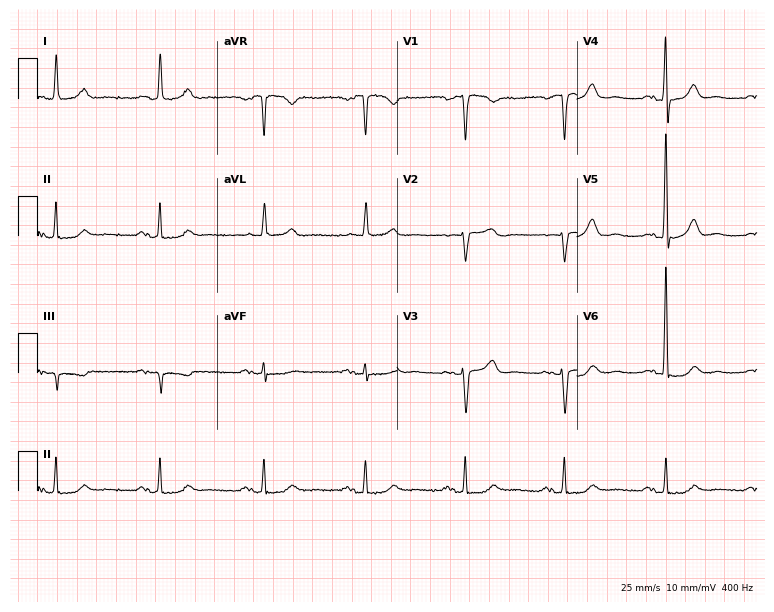
12-lead ECG from a 65-year-old female. No first-degree AV block, right bundle branch block, left bundle branch block, sinus bradycardia, atrial fibrillation or sinus tachycardia recorded for this tracing.